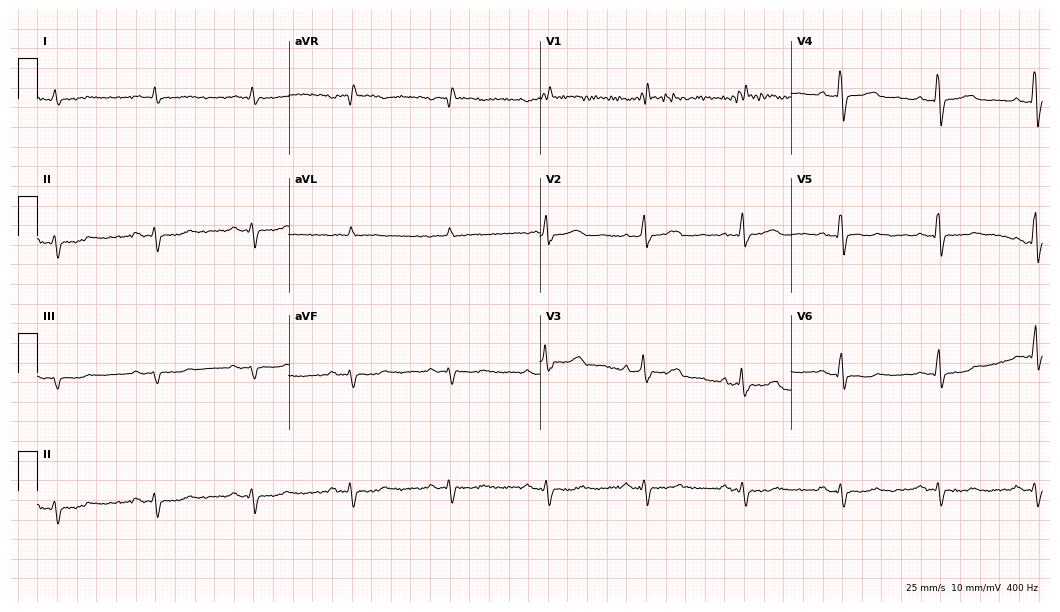
12-lead ECG (10.2-second recording at 400 Hz) from an 82-year-old male. Screened for six findings — first-degree AV block, right bundle branch block (RBBB), left bundle branch block (LBBB), sinus bradycardia, atrial fibrillation (AF), sinus tachycardia — none is recorded.